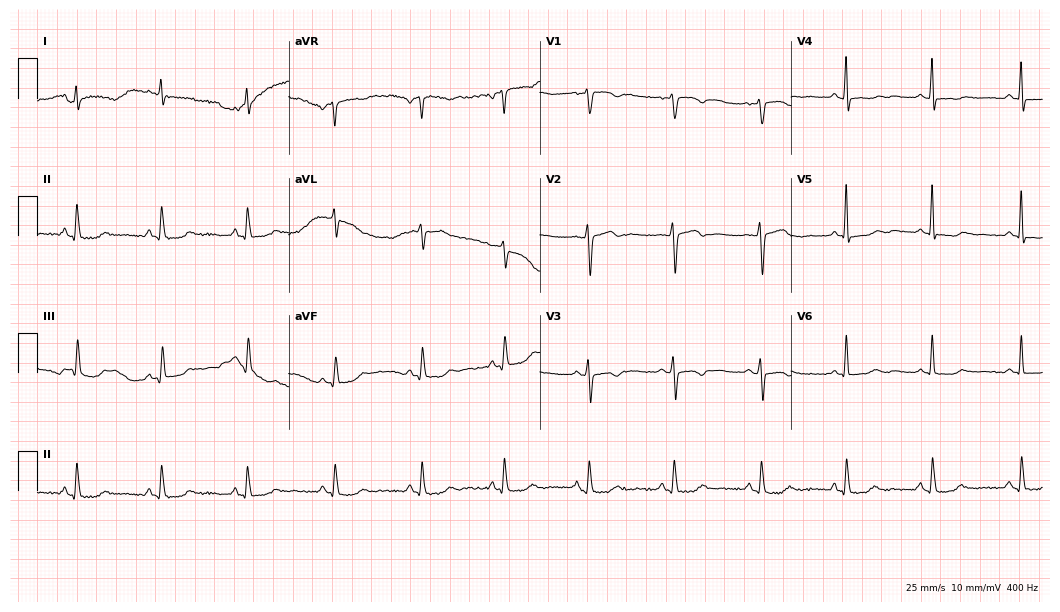
12-lead ECG from a female, 56 years old. Screened for six findings — first-degree AV block, right bundle branch block, left bundle branch block, sinus bradycardia, atrial fibrillation, sinus tachycardia — none is recorded. Only these six findings were labelled.